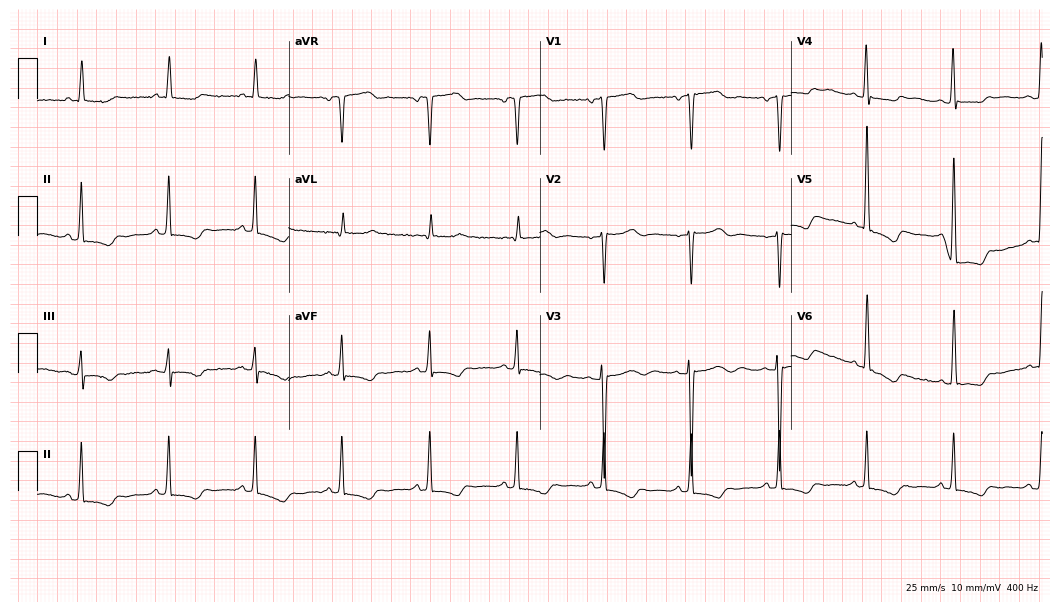
Standard 12-lead ECG recorded from a woman, 78 years old (10.2-second recording at 400 Hz). None of these six findings is recorded: first-degree AV block, right bundle branch block, left bundle branch block, sinus bradycardia, atrial fibrillation, sinus tachycardia.